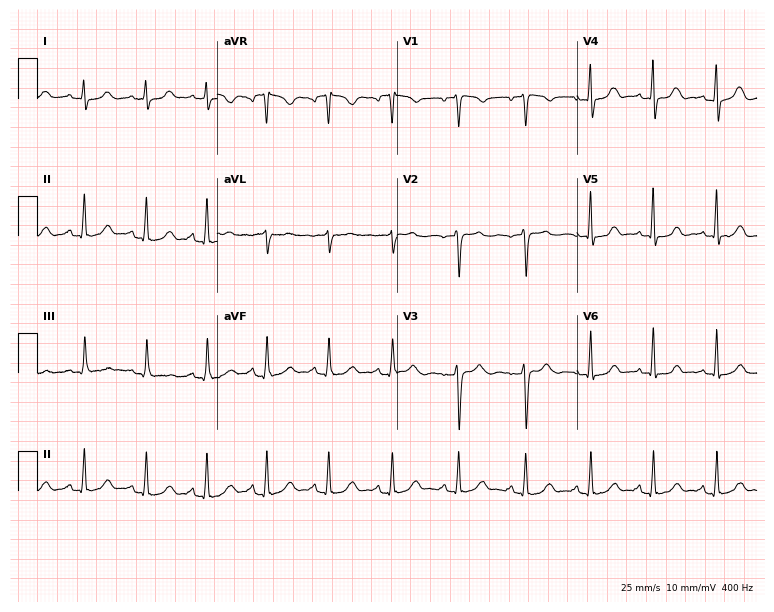
12-lead ECG (7.3-second recording at 400 Hz) from a 47-year-old woman. Labelled as a normal ECG.